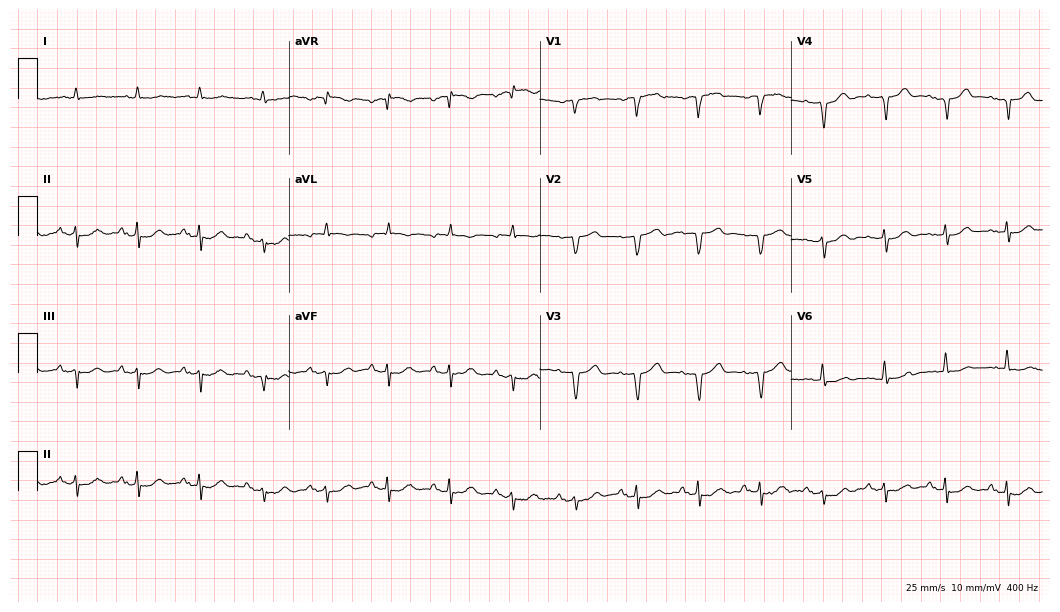
Electrocardiogram (10.2-second recording at 400 Hz), a 70-year-old male patient. Of the six screened findings (first-degree AV block, right bundle branch block, left bundle branch block, sinus bradycardia, atrial fibrillation, sinus tachycardia), none is recorded. Only these six findings were labelled.